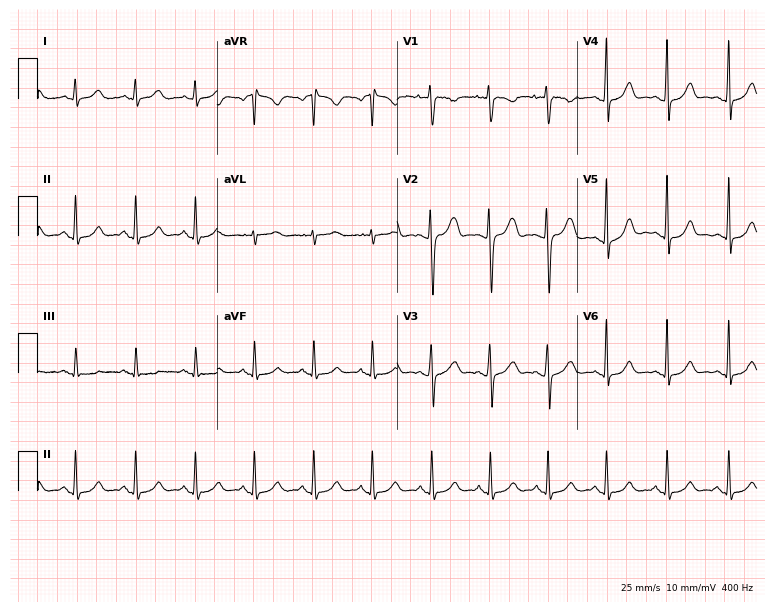
Standard 12-lead ECG recorded from a female, 32 years old (7.3-second recording at 400 Hz). Read as a normal ECG.